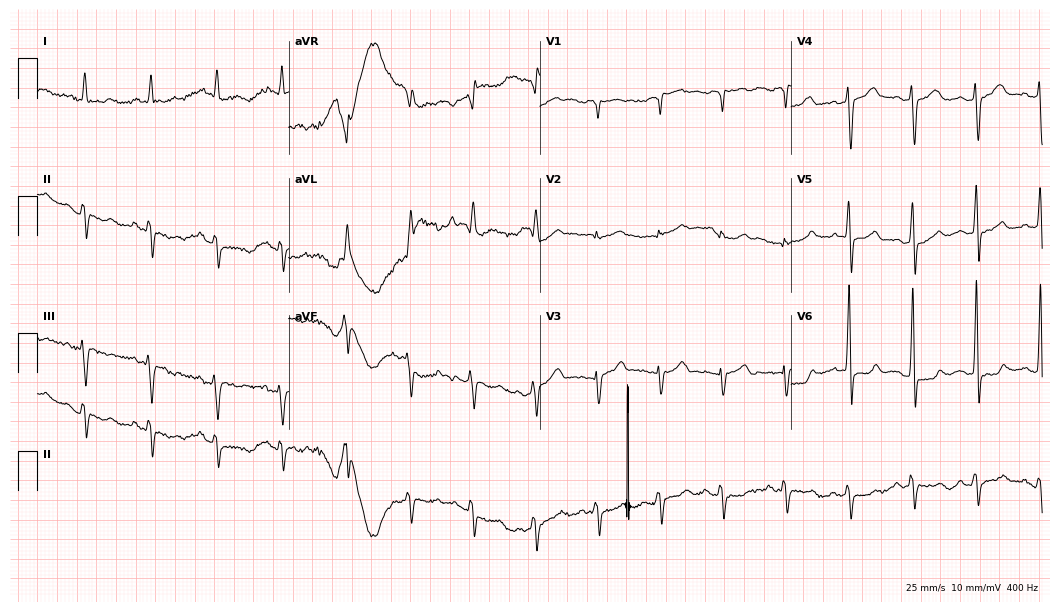
12-lead ECG from a 63-year-old male (10.2-second recording at 400 Hz). No first-degree AV block, right bundle branch block (RBBB), left bundle branch block (LBBB), sinus bradycardia, atrial fibrillation (AF) or sinus tachycardia recorded for this tracing.